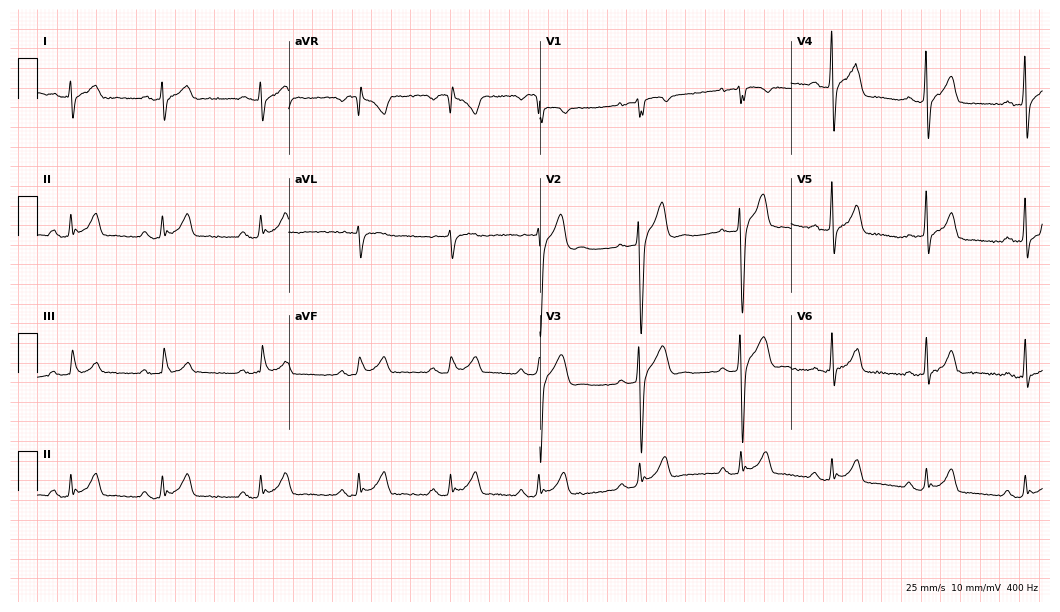
Standard 12-lead ECG recorded from a 25-year-old male. None of these six findings is recorded: first-degree AV block, right bundle branch block (RBBB), left bundle branch block (LBBB), sinus bradycardia, atrial fibrillation (AF), sinus tachycardia. Other findings, if any, are not listed.